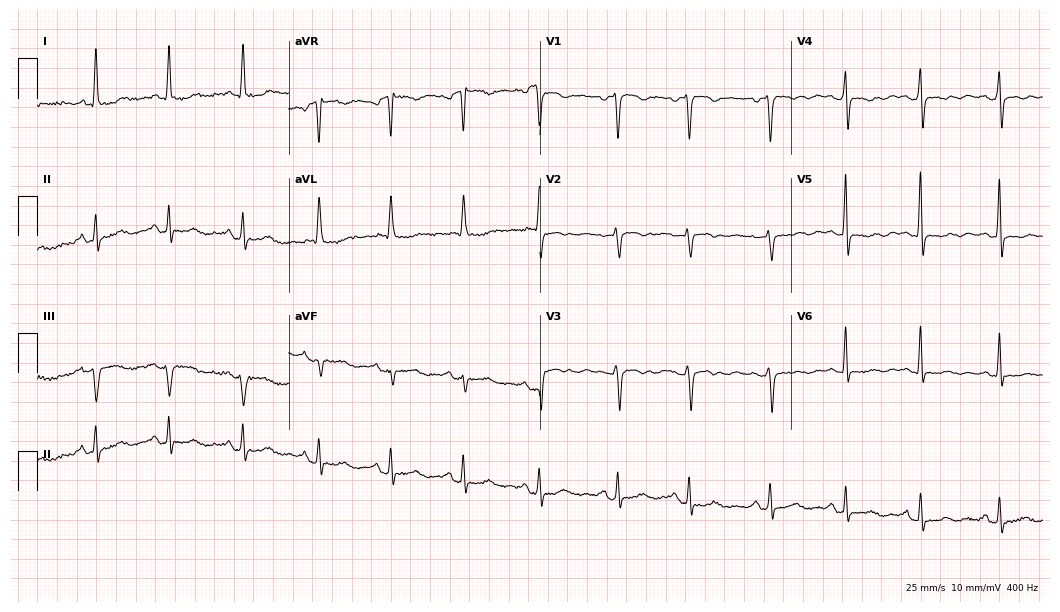
12-lead ECG from a female patient, 47 years old. Screened for six findings — first-degree AV block, right bundle branch block, left bundle branch block, sinus bradycardia, atrial fibrillation, sinus tachycardia — none is recorded.